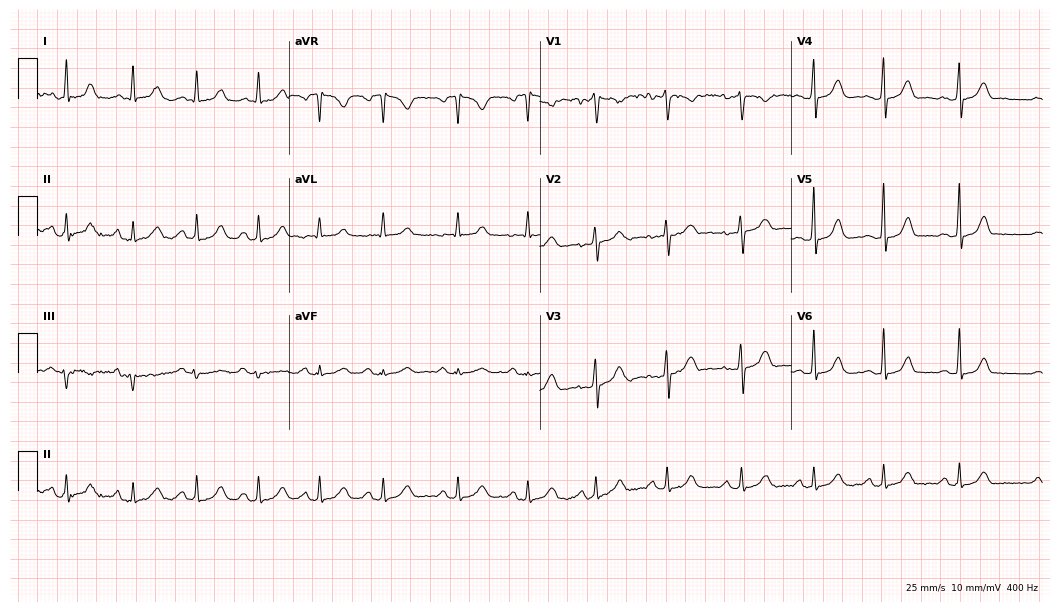
Resting 12-lead electrocardiogram. Patient: a 31-year-old woman. Read as a normal ECG.